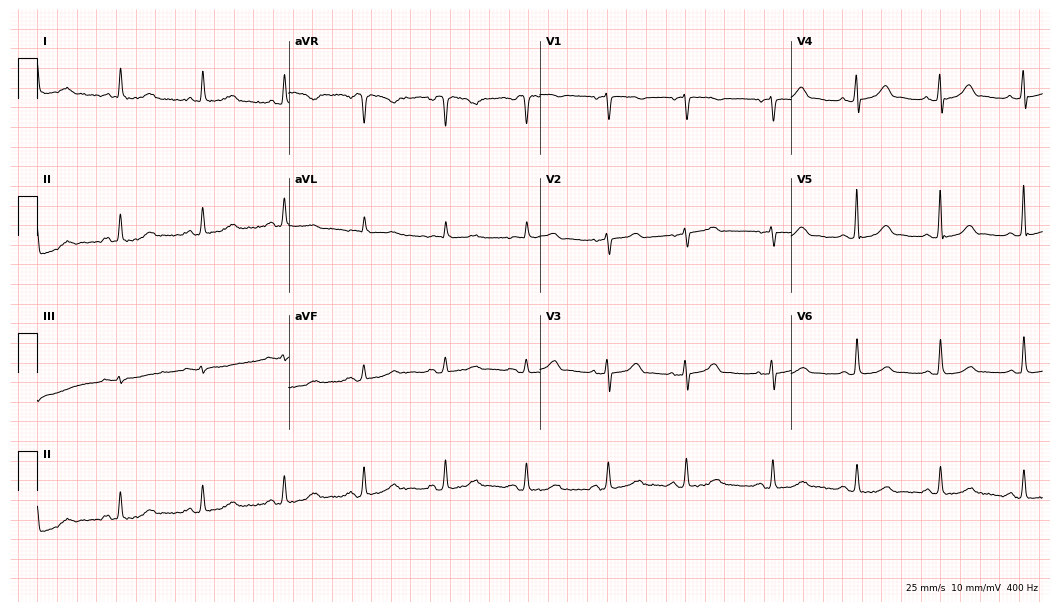
Resting 12-lead electrocardiogram. Patient: an 82-year-old female. Read as a normal ECG.